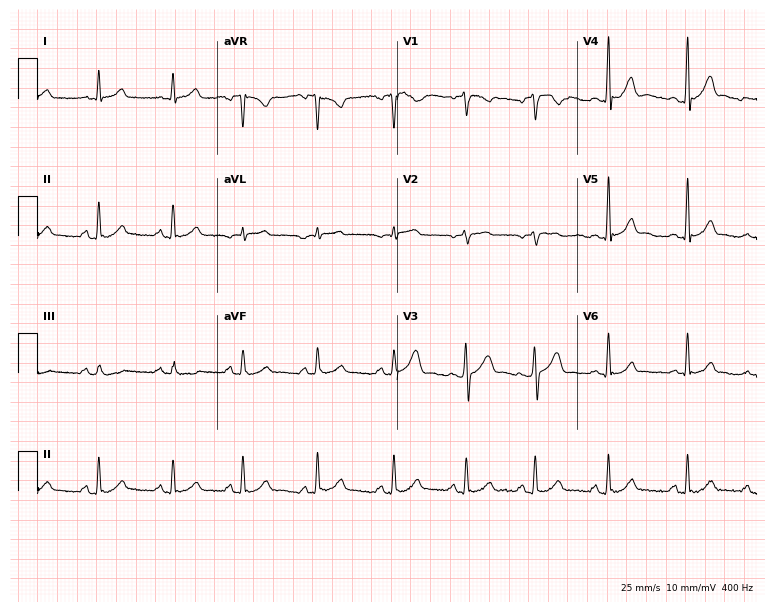
ECG — a male, 38 years old. Screened for six findings — first-degree AV block, right bundle branch block (RBBB), left bundle branch block (LBBB), sinus bradycardia, atrial fibrillation (AF), sinus tachycardia — none is recorded.